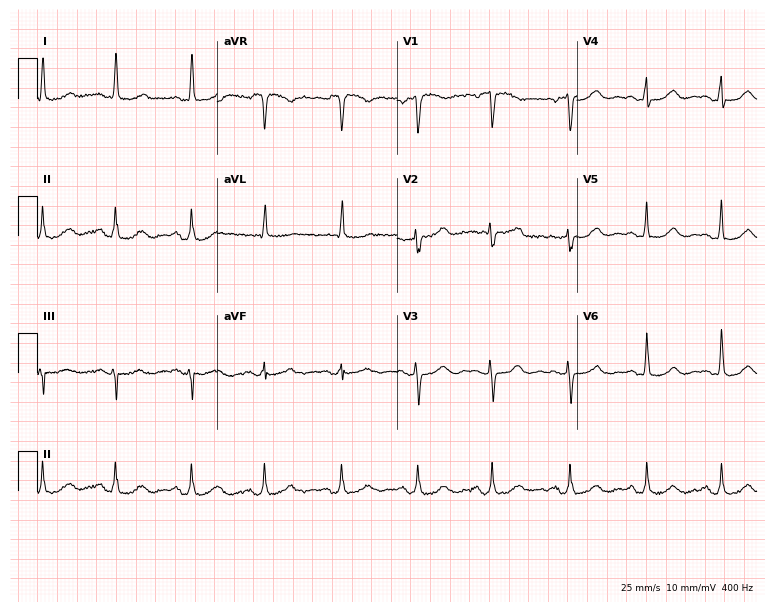
Standard 12-lead ECG recorded from a woman, 67 years old (7.3-second recording at 400 Hz). Read as a normal ECG.